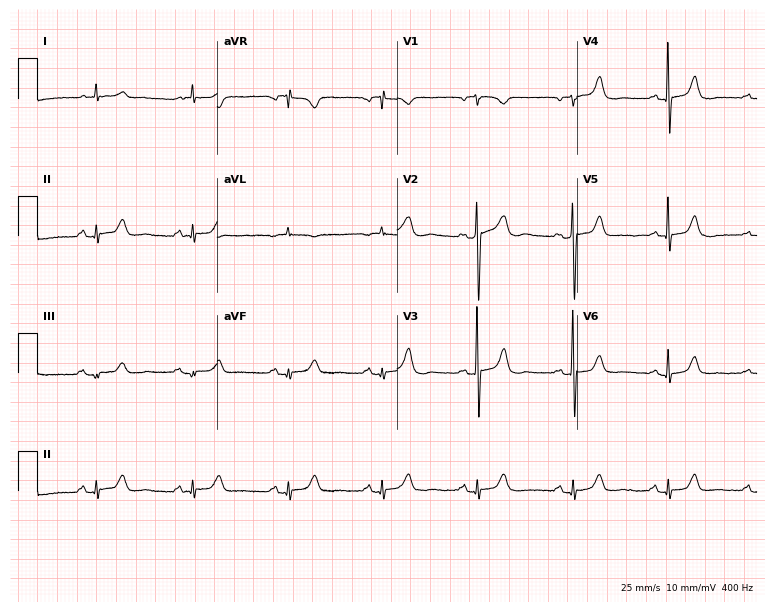
12-lead ECG from an 84-year-old woman (7.3-second recording at 400 Hz). Recorded interpretation: within normal limits.